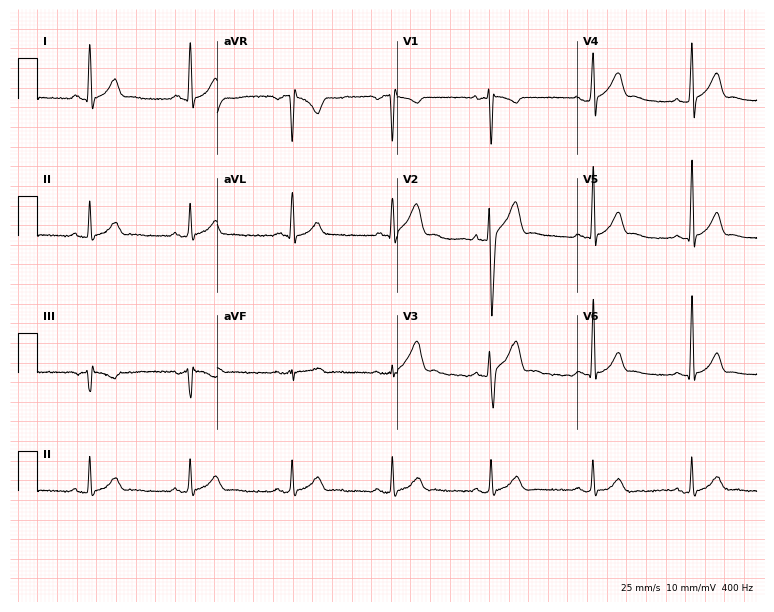
Standard 12-lead ECG recorded from a 31-year-old male (7.3-second recording at 400 Hz). Read as a normal ECG.